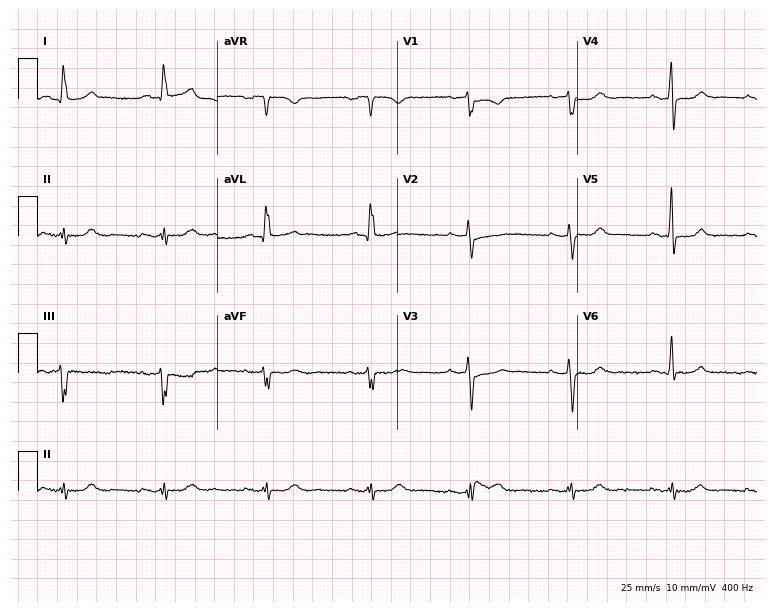
Electrocardiogram, a female, 51 years old. Of the six screened findings (first-degree AV block, right bundle branch block, left bundle branch block, sinus bradycardia, atrial fibrillation, sinus tachycardia), none is recorded. Findings outside these six are not listed.